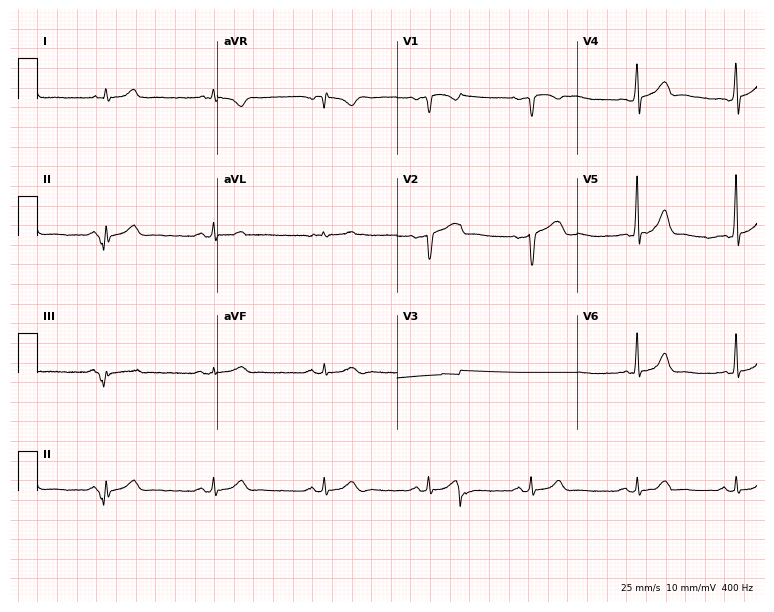
12-lead ECG (7.3-second recording at 400 Hz) from a male, 36 years old. Screened for six findings — first-degree AV block, right bundle branch block (RBBB), left bundle branch block (LBBB), sinus bradycardia, atrial fibrillation (AF), sinus tachycardia — none is recorded. Only these six findings were labelled.